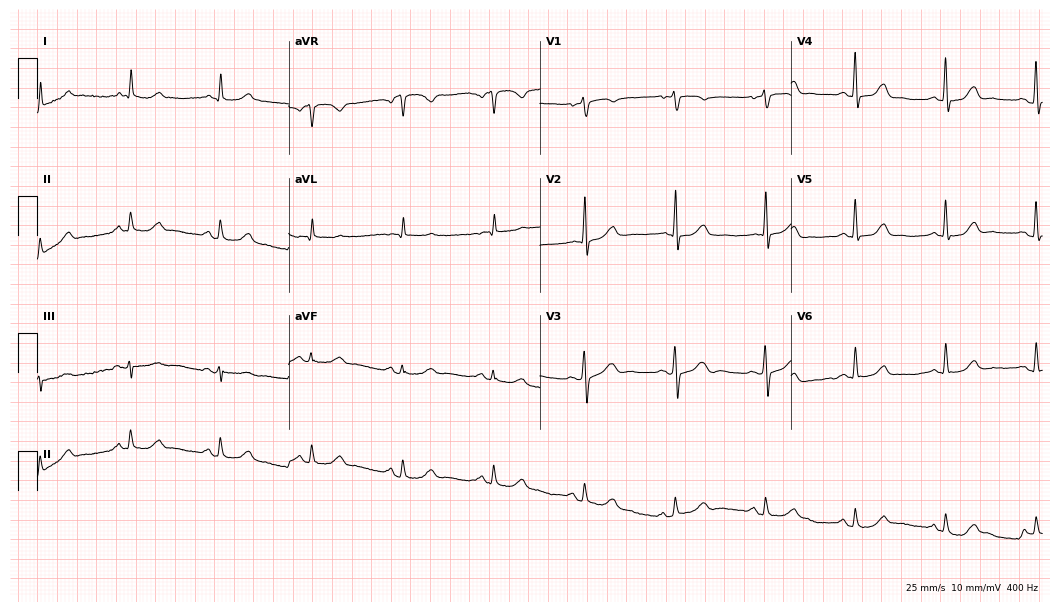
12-lead ECG from an 83-year-old female. No first-degree AV block, right bundle branch block, left bundle branch block, sinus bradycardia, atrial fibrillation or sinus tachycardia recorded for this tracing.